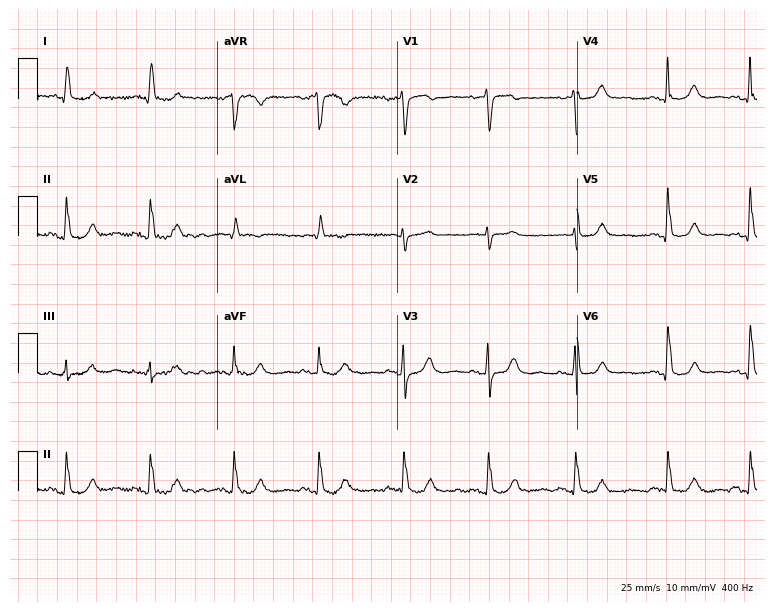
12-lead ECG from an 84-year-old female patient (7.3-second recording at 400 Hz). Recorded interpretation: within normal limits.